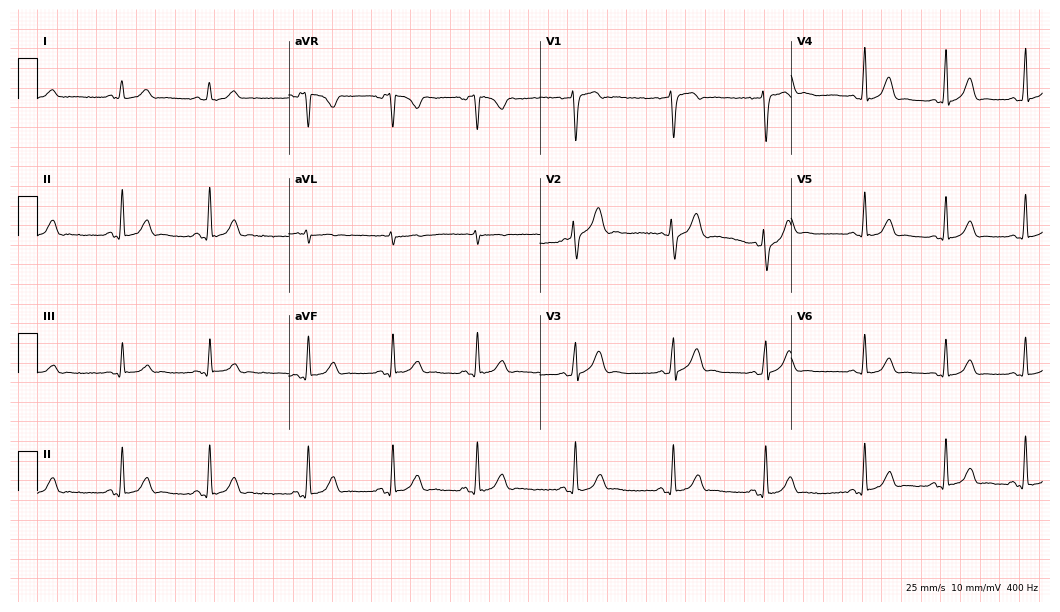
Resting 12-lead electrocardiogram (10.2-second recording at 400 Hz). Patient: a 20-year-old female. Read as a normal ECG.